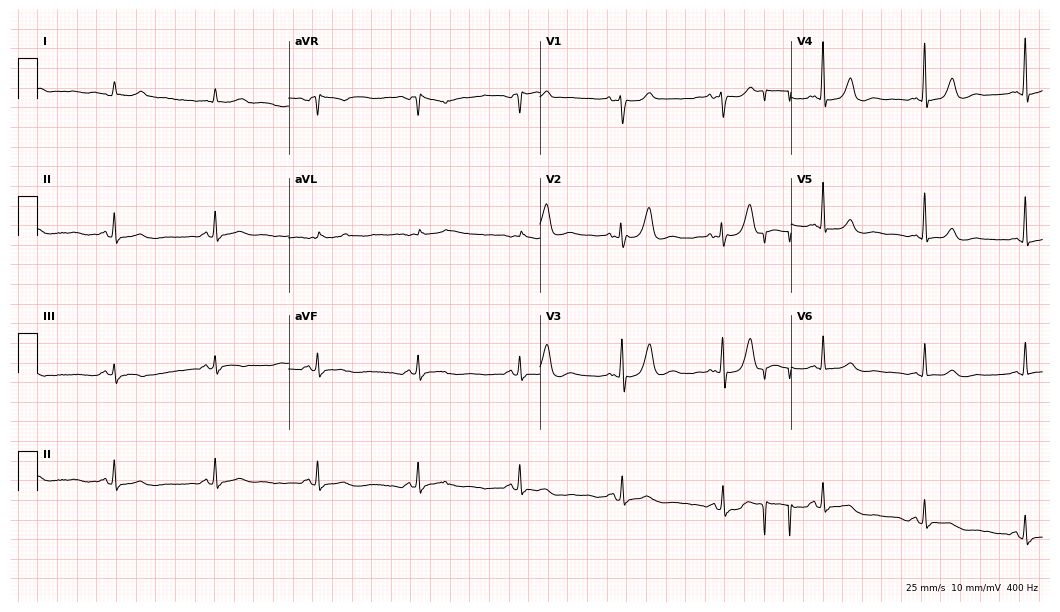
12-lead ECG (10.2-second recording at 400 Hz) from a 75-year-old male patient. Screened for six findings — first-degree AV block, right bundle branch block, left bundle branch block, sinus bradycardia, atrial fibrillation, sinus tachycardia — none is recorded. Only these six findings were labelled.